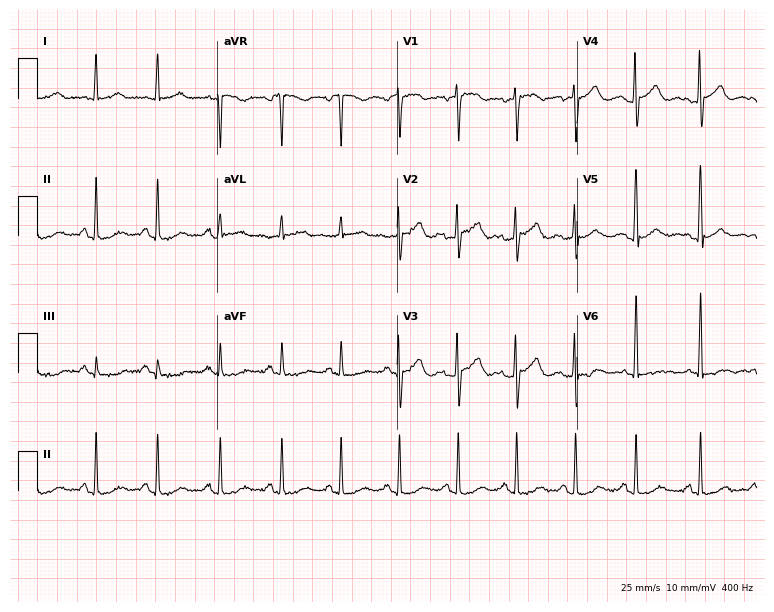
Resting 12-lead electrocardiogram. Patient: a 47-year-old woman. None of these six findings is recorded: first-degree AV block, right bundle branch block, left bundle branch block, sinus bradycardia, atrial fibrillation, sinus tachycardia.